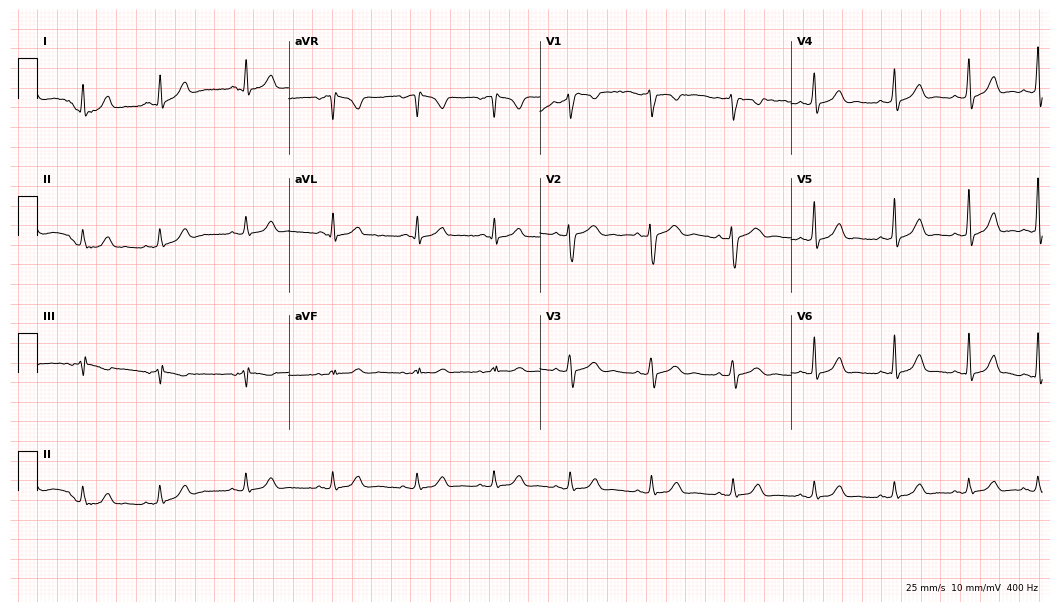
Electrocardiogram, a 23-year-old woman. Overall reading on record: normal ECG.